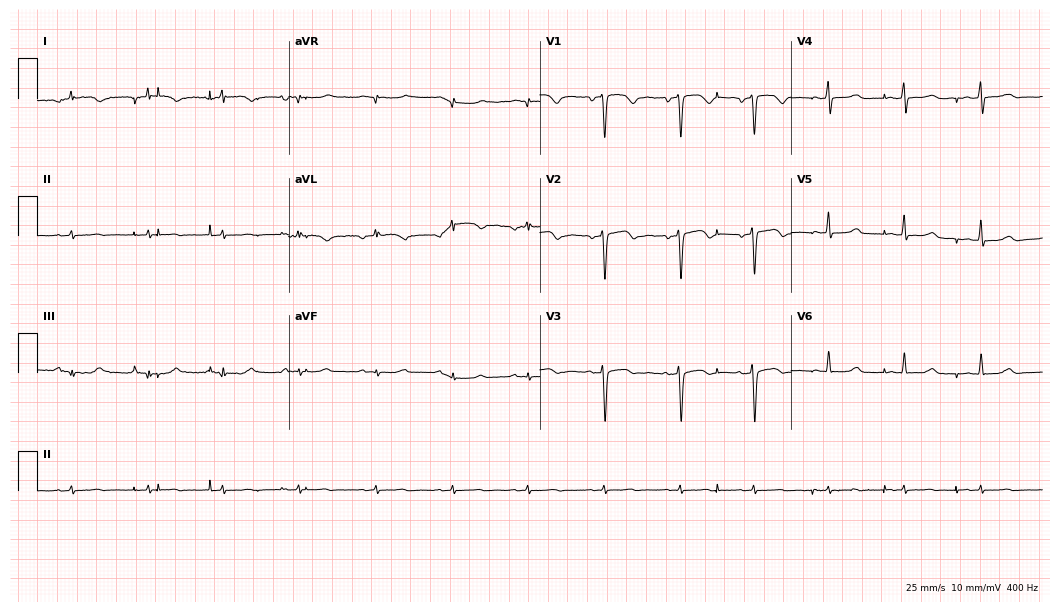
Standard 12-lead ECG recorded from a female, 43 years old. None of these six findings is recorded: first-degree AV block, right bundle branch block, left bundle branch block, sinus bradycardia, atrial fibrillation, sinus tachycardia. Findings outside these six are not listed.